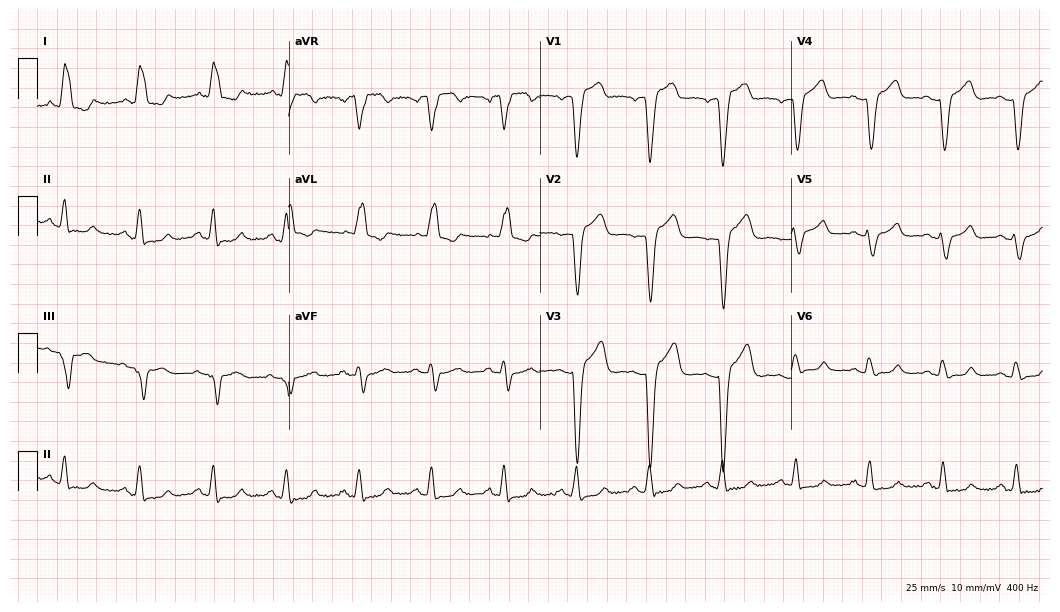
ECG — a 63-year-old female. Screened for six findings — first-degree AV block, right bundle branch block, left bundle branch block, sinus bradycardia, atrial fibrillation, sinus tachycardia — none is recorded.